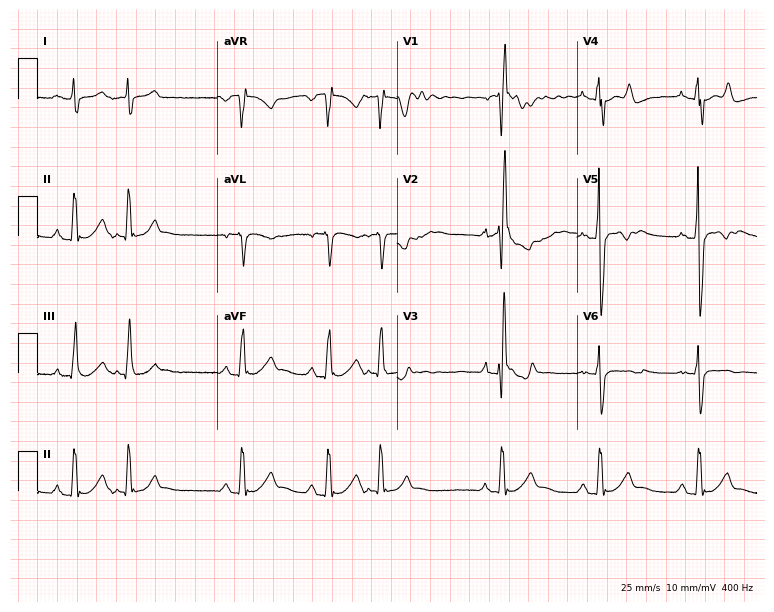
12-lead ECG from a man, 31 years old. Screened for six findings — first-degree AV block, right bundle branch block (RBBB), left bundle branch block (LBBB), sinus bradycardia, atrial fibrillation (AF), sinus tachycardia — none is recorded.